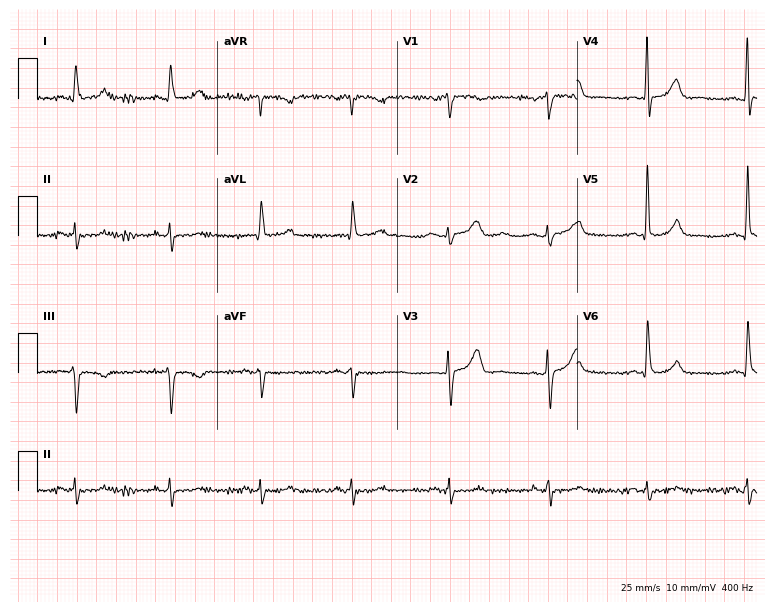
Standard 12-lead ECG recorded from a male patient, 66 years old. None of these six findings is recorded: first-degree AV block, right bundle branch block (RBBB), left bundle branch block (LBBB), sinus bradycardia, atrial fibrillation (AF), sinus tachycardia. Other findings, if any, are not listed.